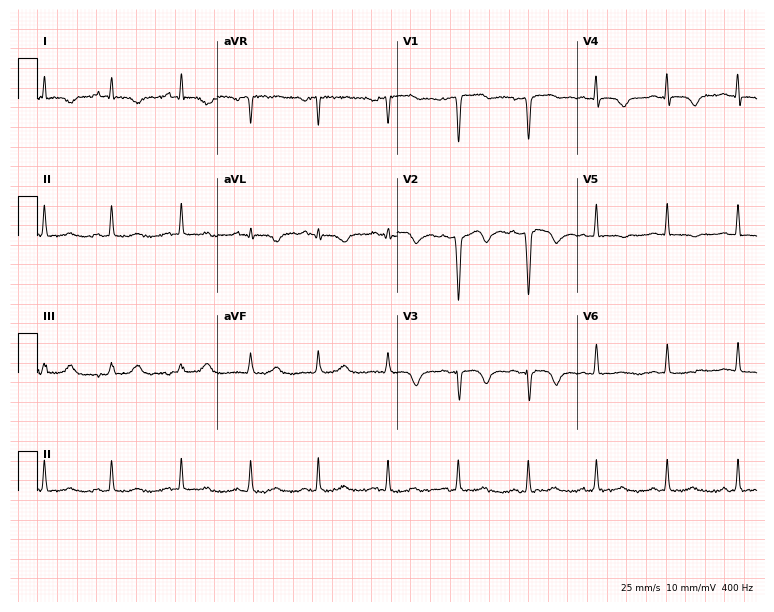
12-lead ECG from a female patient, 66 years old. No first-degree AV block, right bundle branch block (RBBB), left bundle branch block (LBBB), sinus bradycardia, atrial fibrillation (AF) or sinus tachycardia recorded for this tracing.